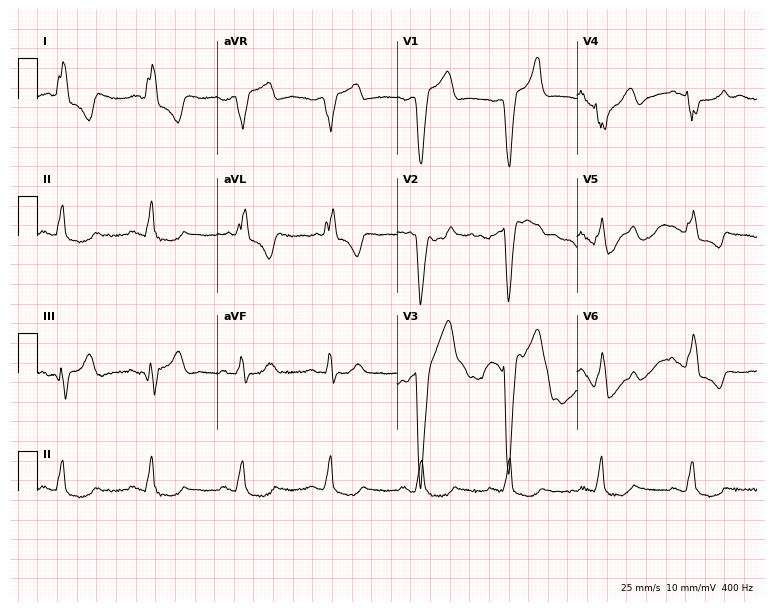
ECG (7.3-second recording at 400 Hz) — a female, 82 years old. Findings include left bundle branch block (LBBB).